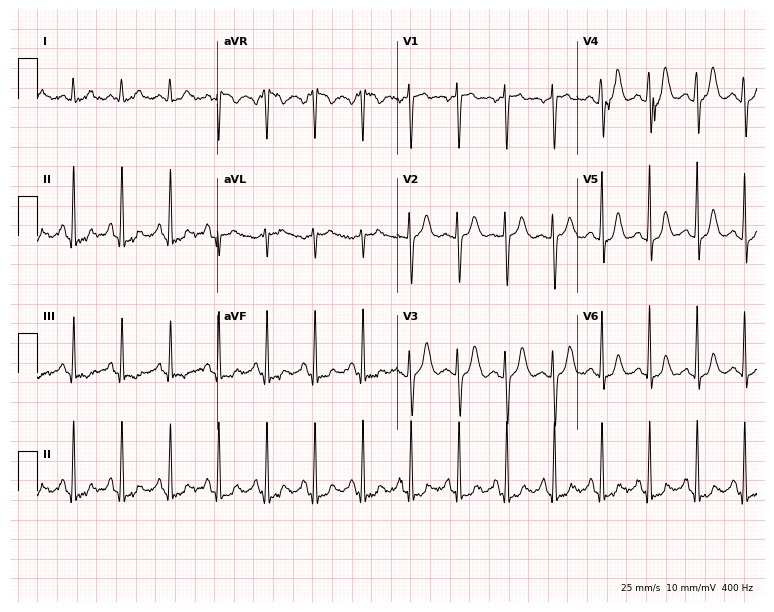
12-lead ECG from a 26-year-old female patient. Findings include sinus tachycardia (a sinus rate of 100 beats per minute or more).